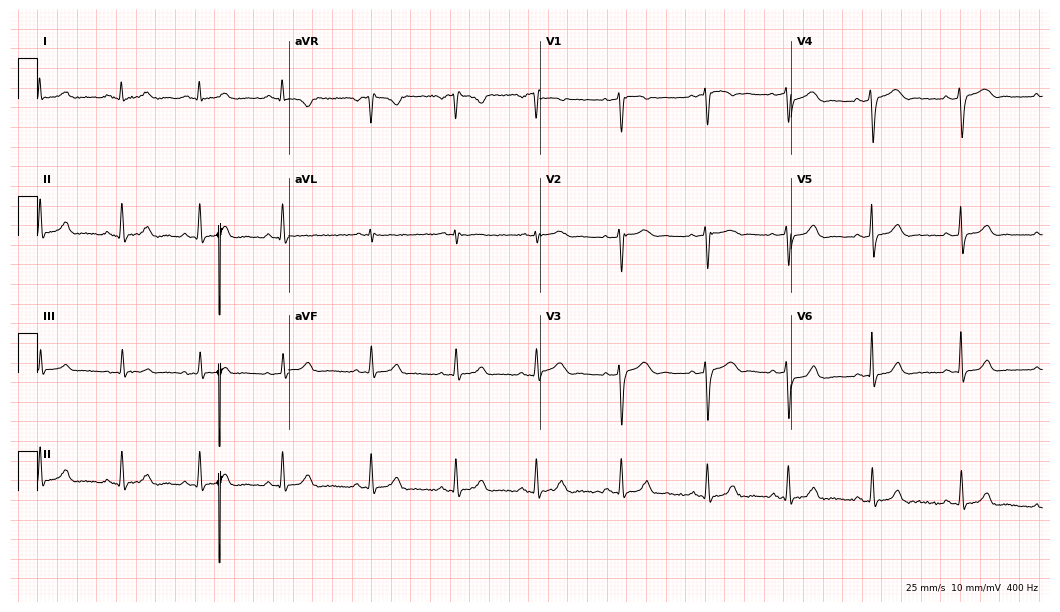
ECG (10.2-second recording at 400 Hz) — a 38-year-old female. Screened for six findings — first-degree AV block, right bundle branch block, left bundle branch block, sinus bradycardia, atrial fibrillation, sinus tachycardia — none is recorded. Only these six findings were labelled.